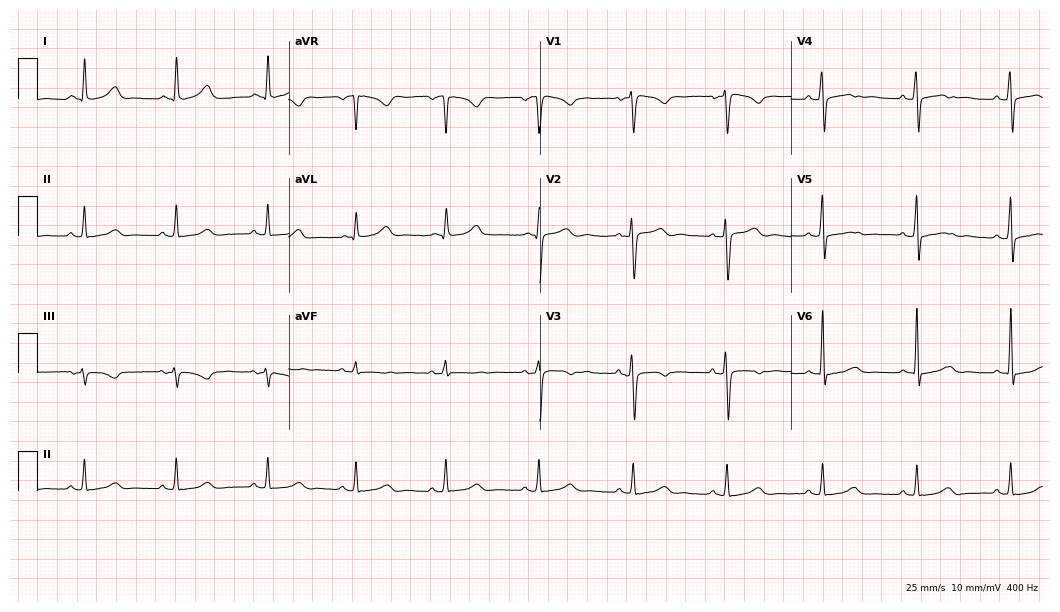
Electrocardiogram (10.2-second recording at 400 Hz), a female patient, 53 years old. Of the six screened findings (first-degree AV block, right bundle branch block (RBBB), left bundle branch block (LBBB), sinus bradycardia, atrial fibrillation (AF), sinus tachycardia), none is recorded. Other findings, if any, are not listed.